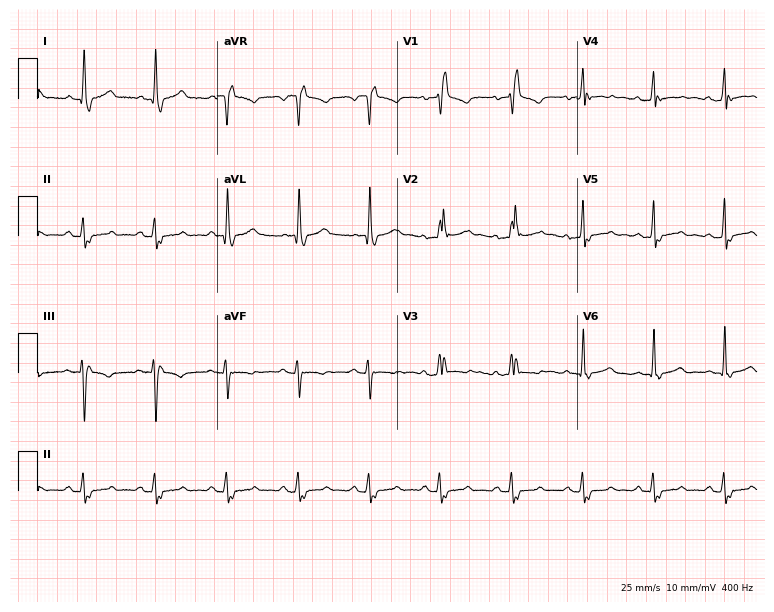
12-lead ECG from a female, 51 years old. Shows right bundle branch block (RBBB).